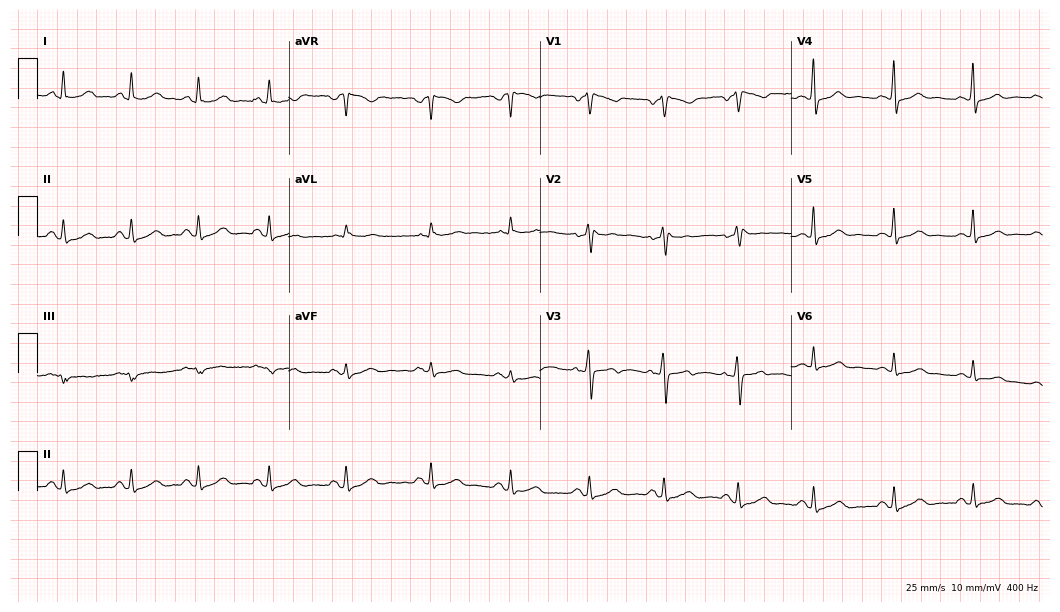
Standard 12-lead ECG recorded from a 55-year-old woman. None of these six findings is recorded: first-degree AV block, right bundle branch block, left bundle branch block, sinus bradycardia, atrial fibrillation, sinus tachycardia. Only these six findings were labelled.